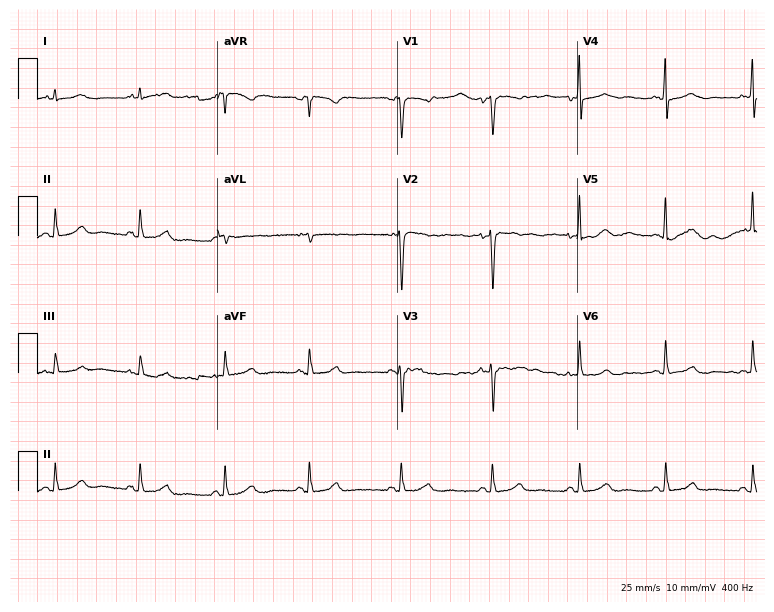
12-lead ECG from a female patient, 53 years old (7.3-second recording at 400 Hz). No first-degree AV block, right bundle branch block (RBBB), left bundle branch block (LBBB), sinus bradycardia, atrial fibrillation (AF) or sinus tachycardia recorded for this tracing. Findings outside these six are not listed.